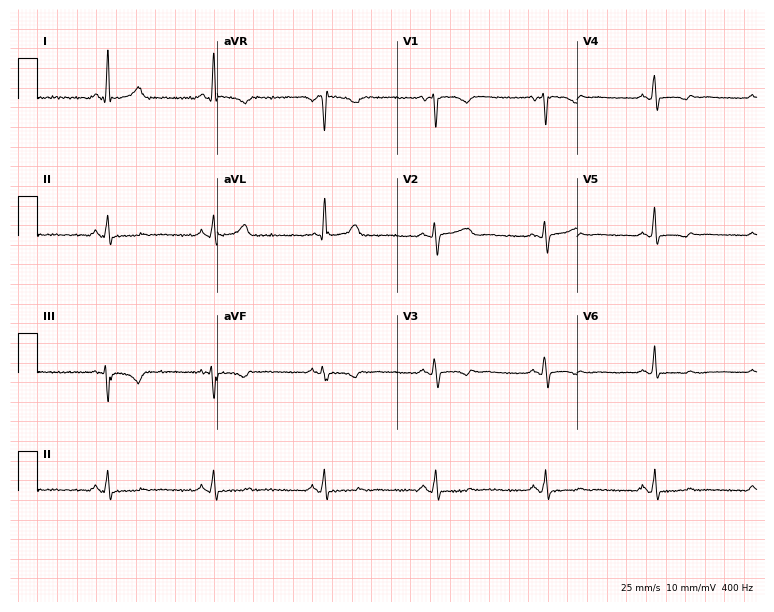
Electrocardiogram, a 51-year-old female. Of the six screened findings (first-degree AV block, right bundle branch block, left bundle branch block, sinus bradycardia, atrial fibrillation, sinus tachycardia), none is recorded. Findings outside these six are not listed.